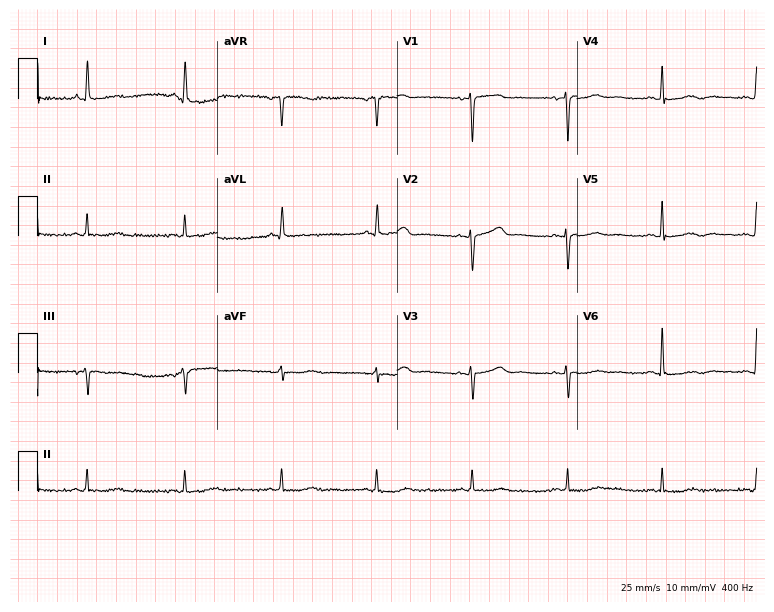
ECG (7.3-second recording at 400 Hz) — a female, 78 years old. Screened for six findings — first-degree AV block, right bundle branch block, left bundle branch block, sinus bradycardia, atrial fibrillation, sinus tachycardia — none is recorded. Other findings, if any, are not listed.